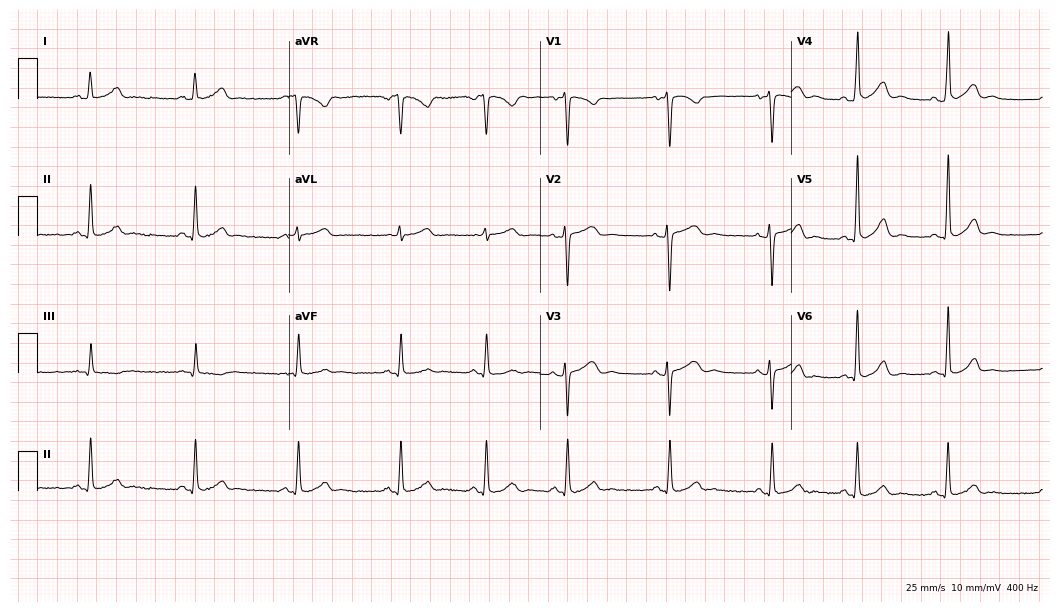
Standard 12-lead ECG recorded from a female patient, 22 years old (10.2-second recording at 400 Hz). Read as a normal ECG.